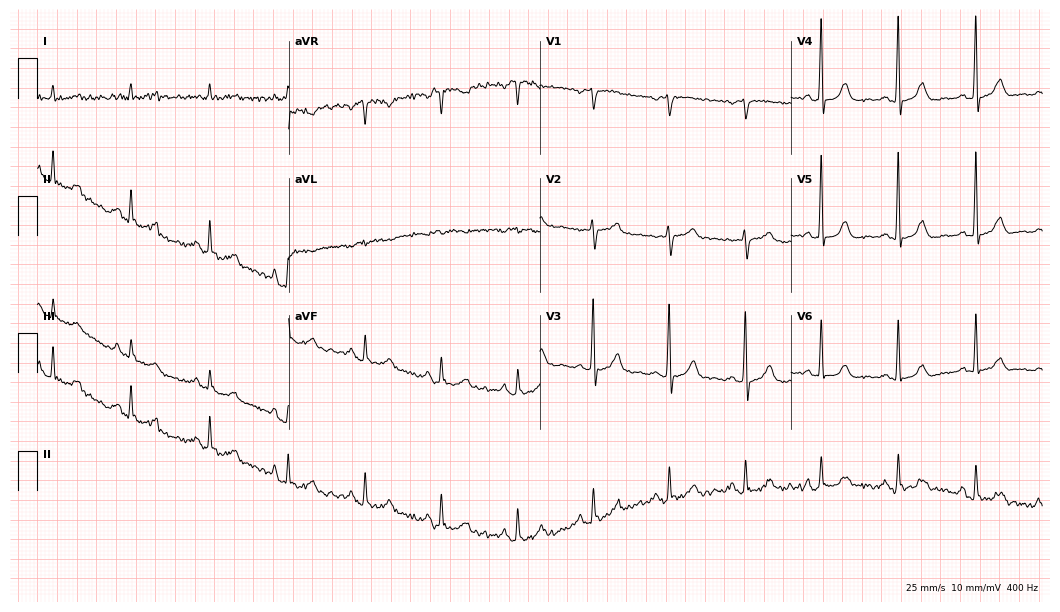
Standard 12-lead ECG recorded from a female patient, 64 years old. None of these six findings is recorded: first-degree AV block, right bundle branch block (RBBB), left bundle branch block (LBBB), sinus bradycardia, atrial fibrillation (AF), sinus tachycardia. Other findings, if any, are not listed.